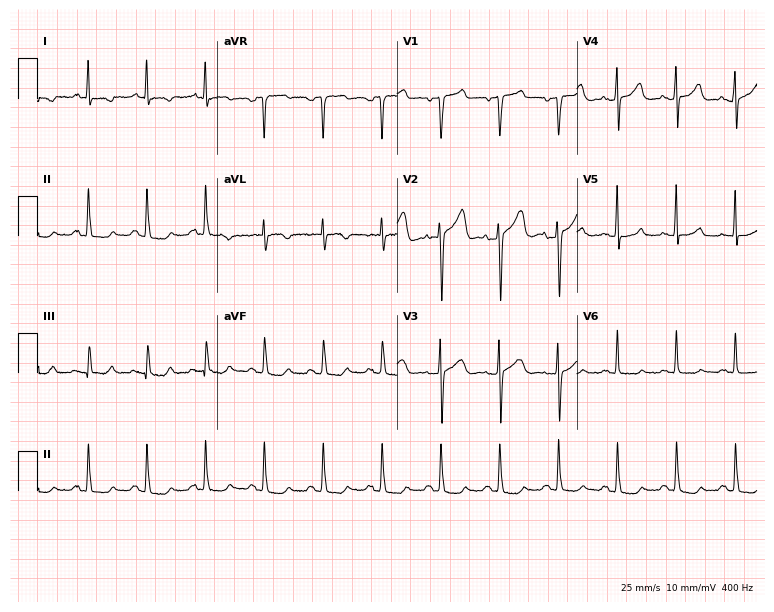
Standard 12-lead ECG recorded from a man, 59 years old (7.3-second recording at 400 Hz). None of these six findings is recorded: first-degree AV block, right bundle branch block (RBBB), left bundle branch block (LBBB), sinus bradycardia, atrial fibrillation (AF), sinus tachycardia. Only these six findings were labelled.